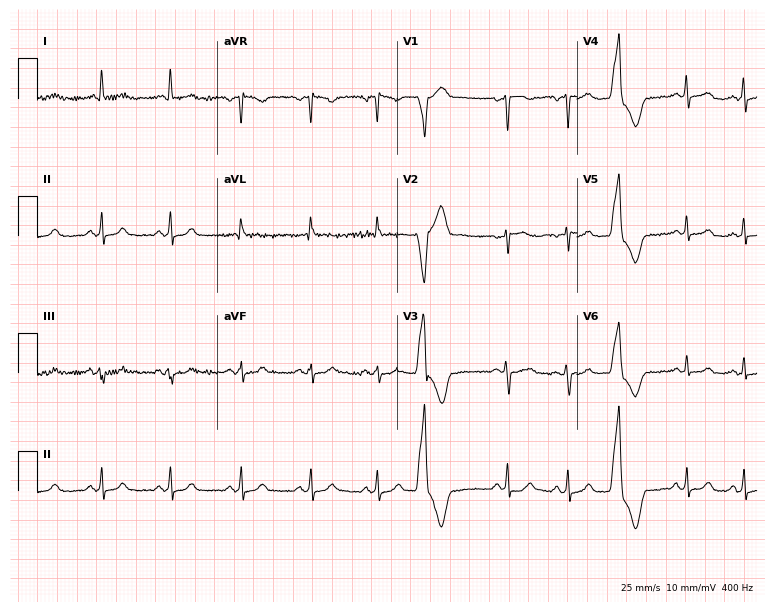
Standard 12-lead ECG recorded from a female patient, 32 years old (7.3-second recording at 400 Hz). None of these six findings is recorded: first-degree AV block, right bundle branch block, left bundle branch block, sinus bradycardia, atrial fibrillation, sinus tachycardia. Findings outside these six are not listed.